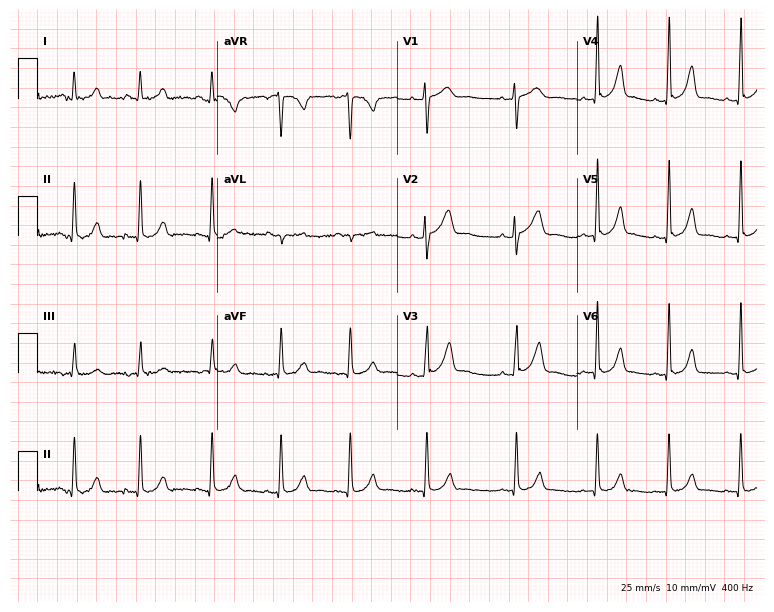
Electrocardiogram, a woman, 21 years old. Overall reading on record: normal ECG.